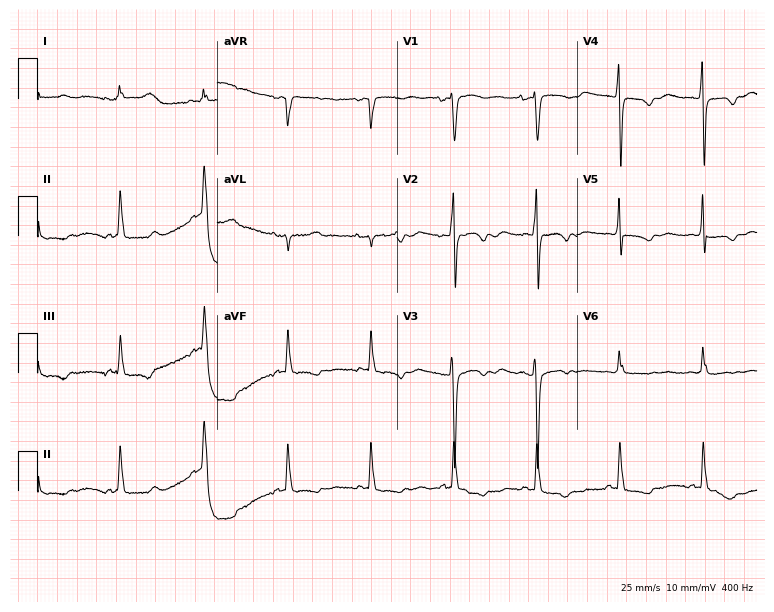
Electrocardiogram (7.3-second recording at 400 Hz), an 84-year-old female. Of the six screened findings (first-degree AV block, right bundle branch block, left bundle branch block, sinus bradycardia, atrial fibrillation, sinus tachycardia), none is recorded. Only these six findings were labelled.